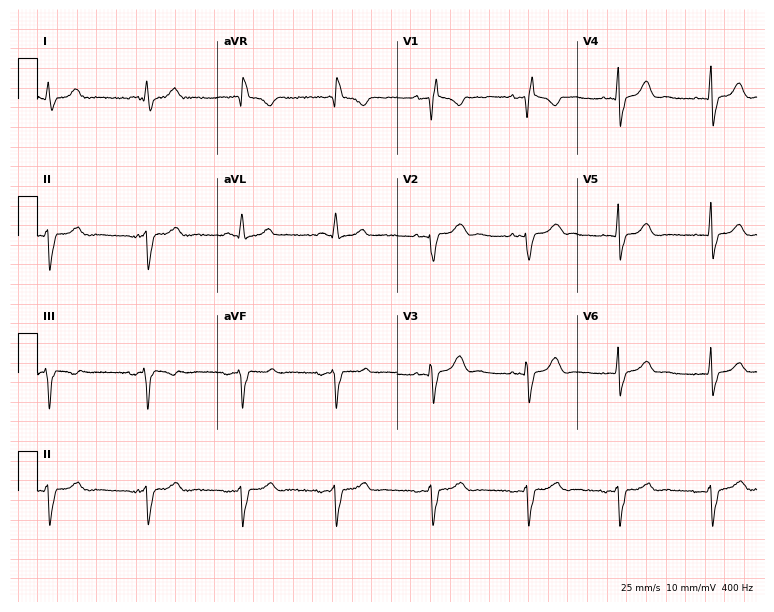
ECG — a woman, 50 years old. Screened for six findings — first-degree AV block, right bundle branch block (RBBB), left bundle branch block (LBBB), sinus bradycardia, atrial fibrillation (AF), sinus tachycardia — none is recorded. Only these six findings were labelled.